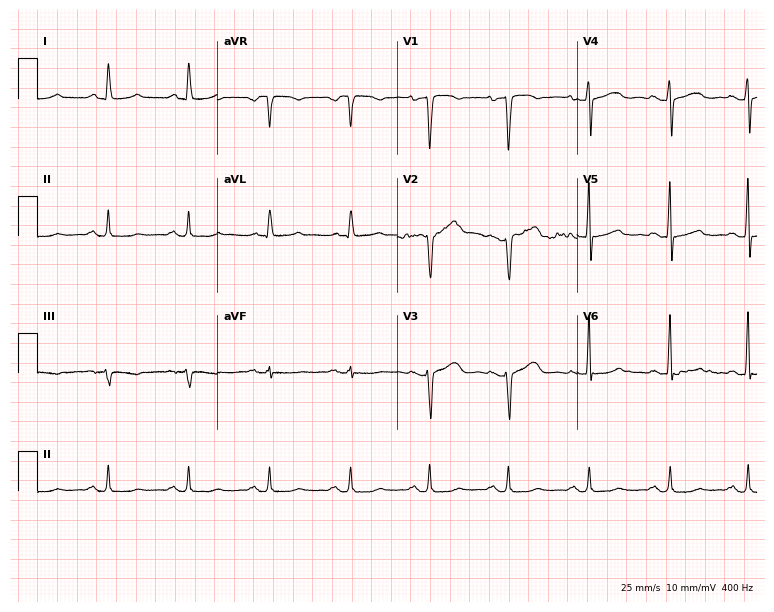
Electrocardiogram (7.3-second recording at 400 Hz), a 51-year-old female patient. Of the six screened findings (first-degree AV block, right bundle branch block (RBBB), left bundle branch block (LBBB), sinus bradycardia, atrial fibrillation (AF), sinus tachycardia), none is recorded.